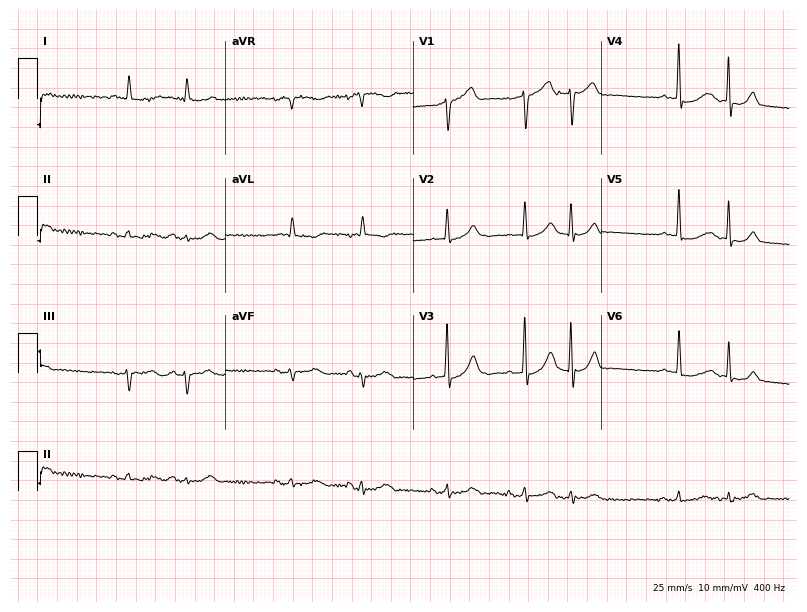
ECG — a male patient, 75 years old. Findings include atrial fibrillation.